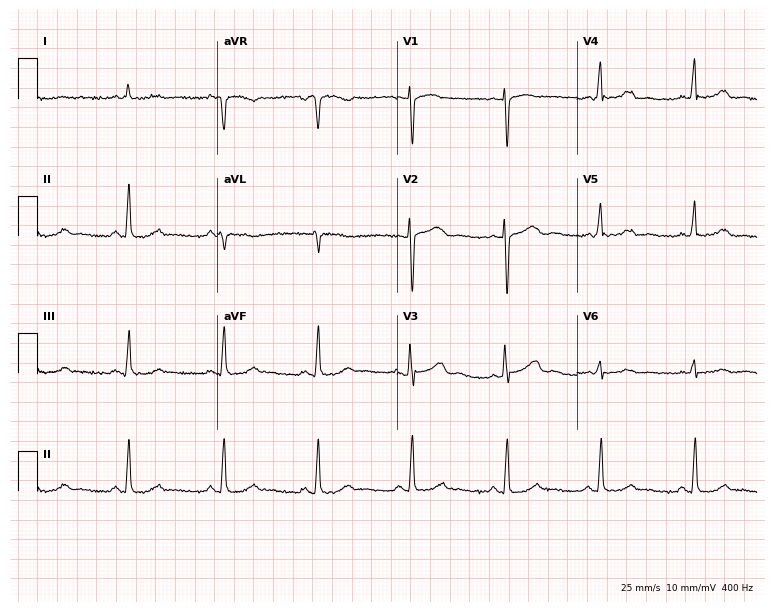
Standard 12-lead ECG recorded from a 61-year-old woman. None of these six findings is recorded: first-degree AV block, right bundle branch block (RBBB), left bundle branch block (LBBB), sinus bradycardia, atrial fibrillation (AF), sinus tachycardia. Findings outside these six are not listed.